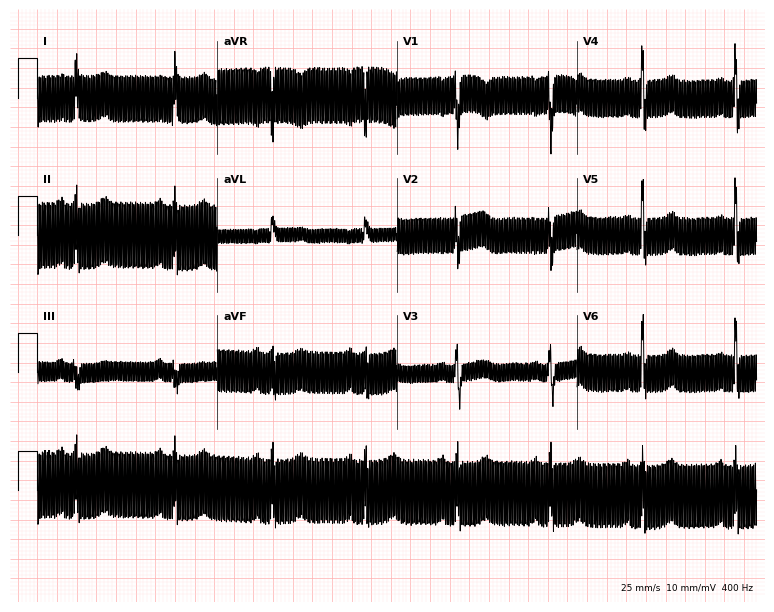
ECG (7.3-second recording at 400 Hz) — a female patient, 75 years old. Screened for six findings — first-degree AV block, right bundle branch block (RBBB), left bundle branch block (LBBB), sinus bradycardia, atrial fibrillation (AF), sinus tachycardia — none is recorded.